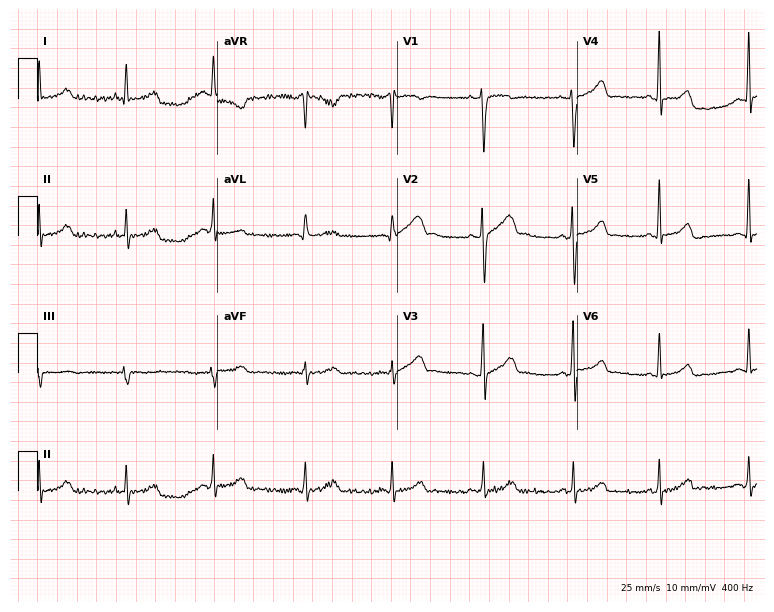
Standard 12-lead ECG recorded from a woman, 23 years old. The tracing shows first-degree AV block.